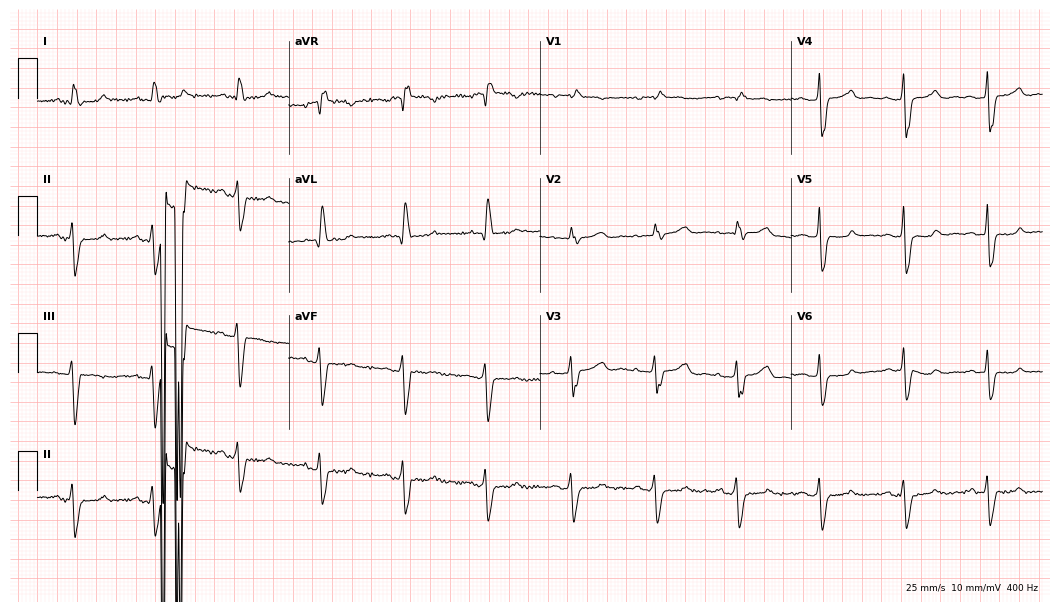
12-lead ECG from a woman, 69 years old (10.2-second recording at 400 Hz). No first-degree AV block, right bundle branch block, left bundle branch block, sinus bradycardia, atrial fibrillation or sinus tachycardia recorded for this tracing.